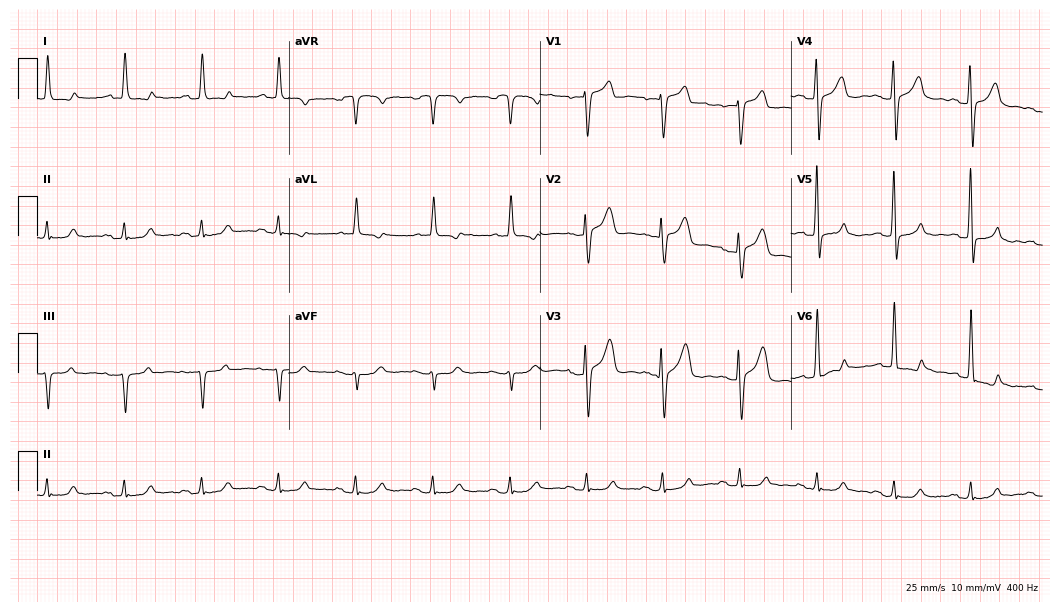
ECG — a male patient, 80 years old. Screened for six findings — first-degree AV block, right bundle branch block, left bundle branch block, sinus bradycardia, atrial fibrillation, sinus tachycardia — none is recorded. Only these six findings were labelled.